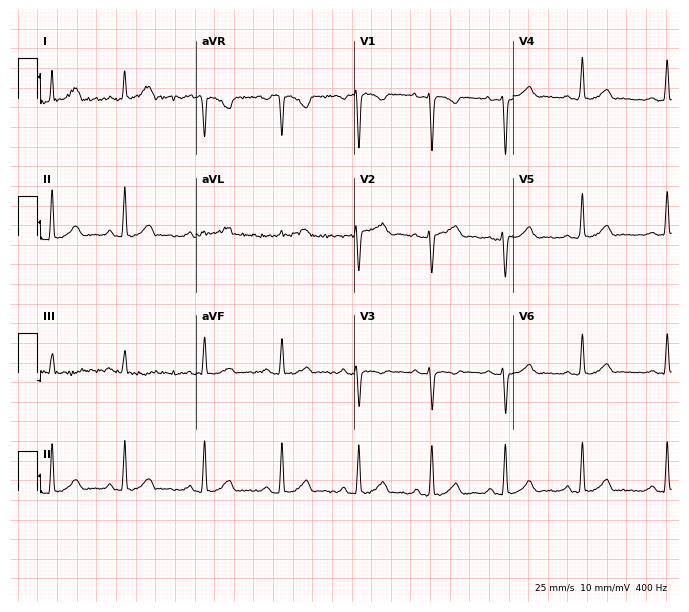
12-lead ECG from a 23-year-old female (6.5-second recording at 400 Hz). Recorded interpretation: within normal limits.